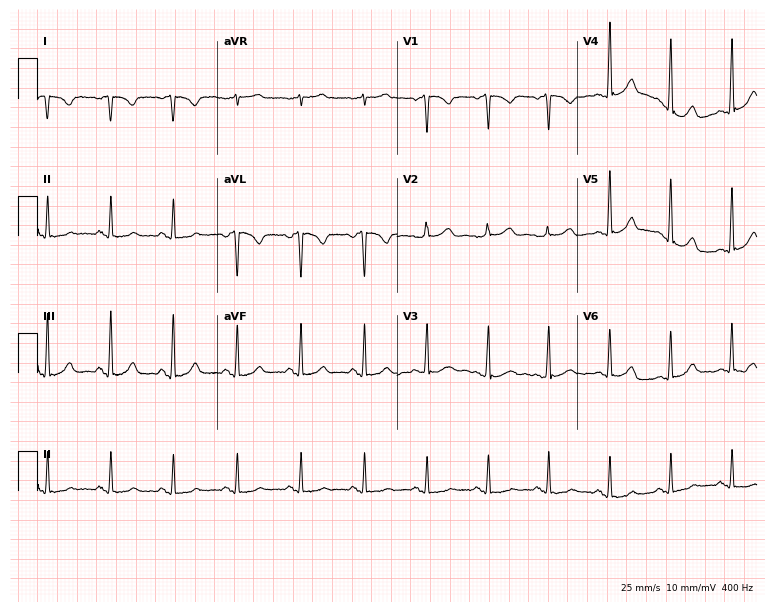
Resting 12-lead electrocardiogram (7.3-second recording at 400 Hz). Patient: a female, 38 years old. None of these six findings is recorded: first-degree AV block, right bundle branch block, left bundle branch block, sinus bradycardia, atrial fibrillation, sinus tachycardia.